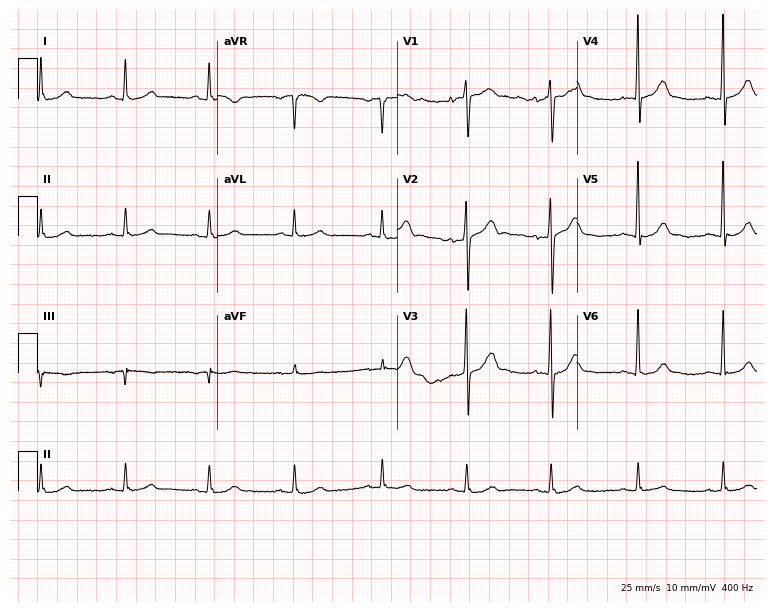
ECG (7.3-second recording at 400 Hz) — a 39-year-old male patient. Screened for six findings — first-degree AV block, right bundle branch block (RBBB), left bundle branch block (LBBB), sinus bradycardia, atrial fibrillation (AF), sinus tachycardia — none is recorded. Findings outside these six are not listed.